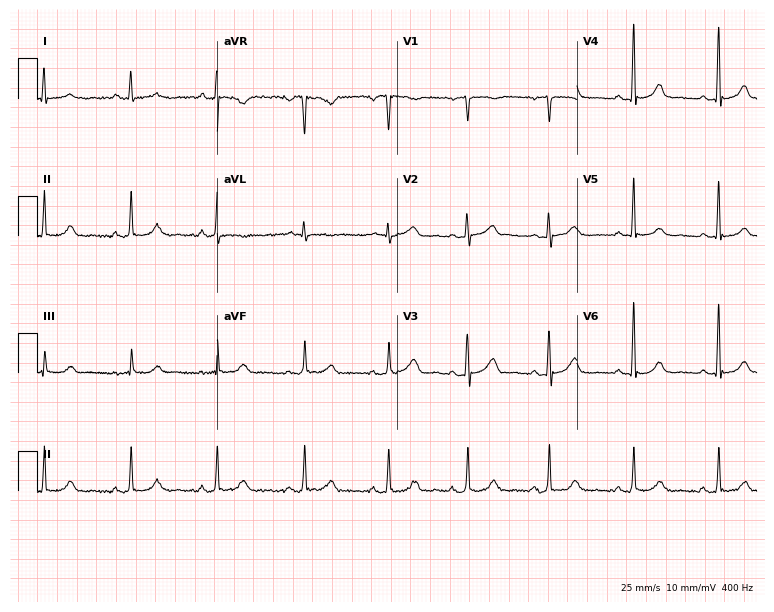
12-lead ECG from a woman, 51 years old. Labelled as a normal ECG.